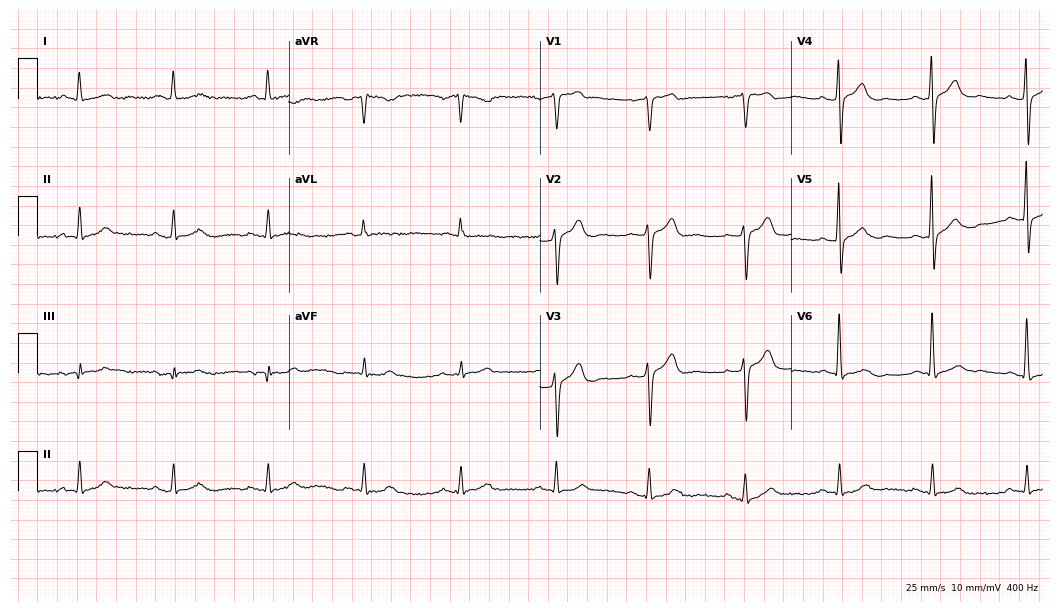
Resting 12-lead electrocardiogram. Patient: a 73-year-old male. None of these six findings is recorded: first-degree AV block, right bundle branch block, left bundle branch block, sinus bradycardia, atrial fibrillation, sinus tachycardia. Other findings, if any, are not listed.